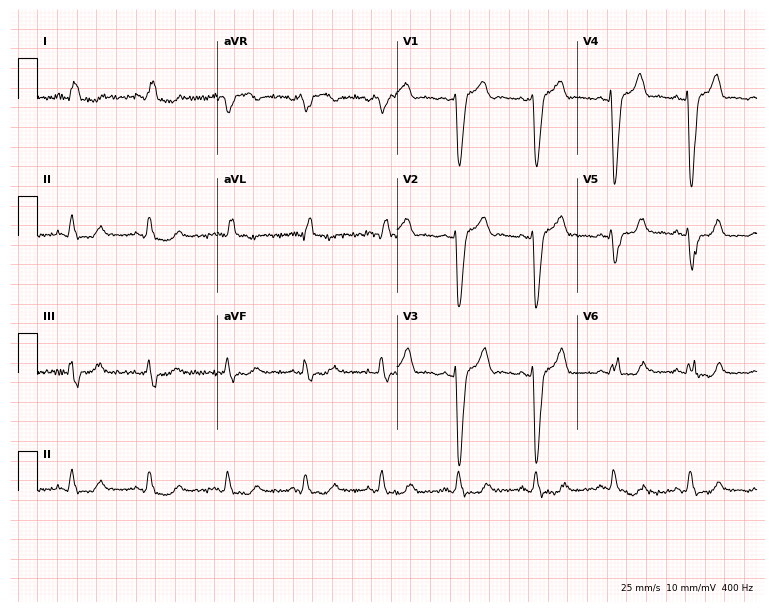
Resting 12-lead electrocardiogram. Patient: a 55-year-old female. The tracing shows left bundle branch block (LBBB).